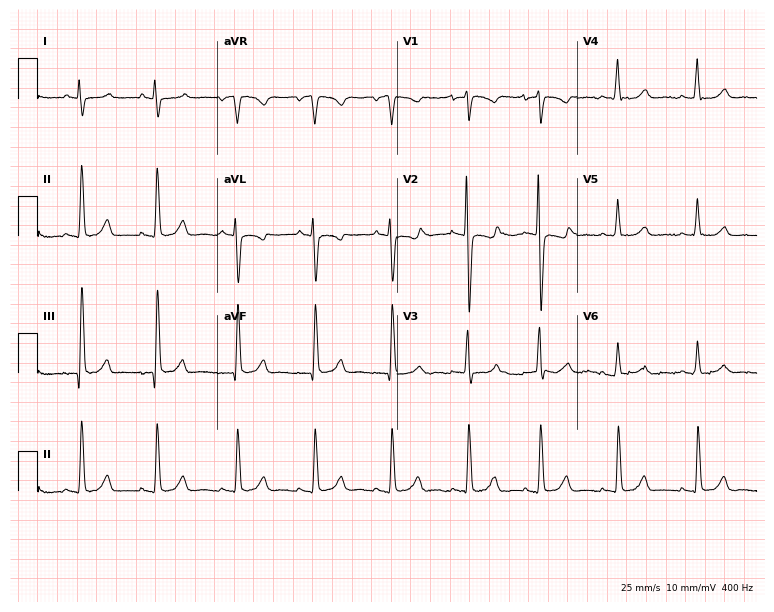
Electrocardiogram (7.3-second recording at 400 Hz), a 20-year-old woman. Overall reading on record: normal ECG.